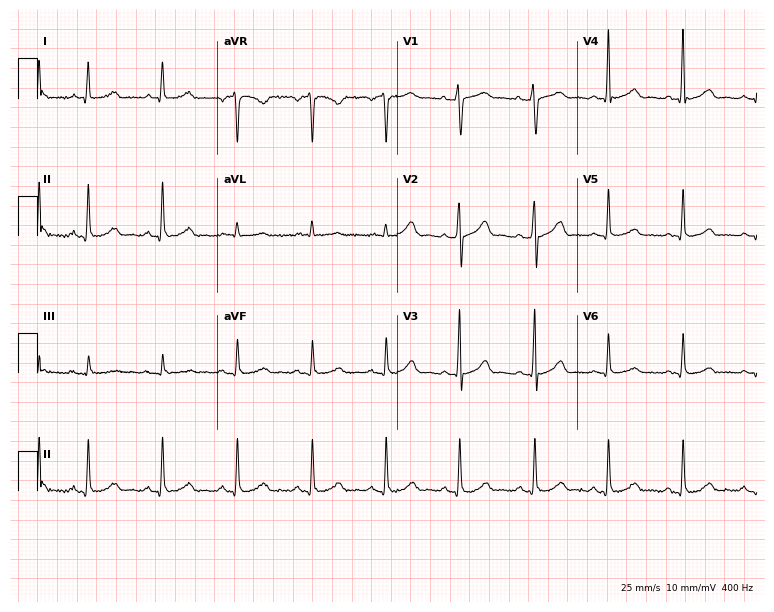
12-lead ECG (7.3-second recording at 400 Hz) from a 34-year-old female. Screened for six findings — first-degree AV block, right bundle branch block, left bundle branch block, sinus bradycardia, atrial fibrillation, sinus tachycardia — none is recorded. Only these six findings were labelled.